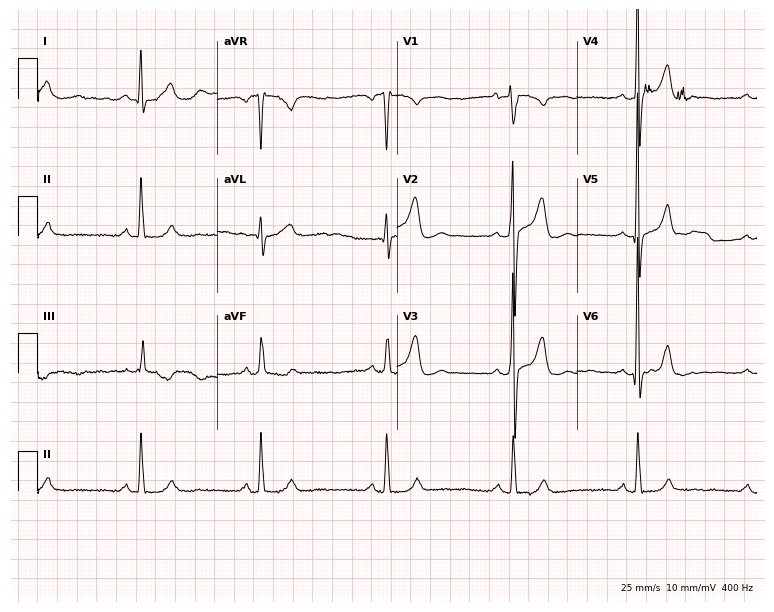
ECG — a male patient, 59 years old. Screened for six findings — first-degree AV block, right bundle branch block, left bundle branch block, sinus bradycardia, atrial fibrillation, sinus tachycardia — none is recorded.